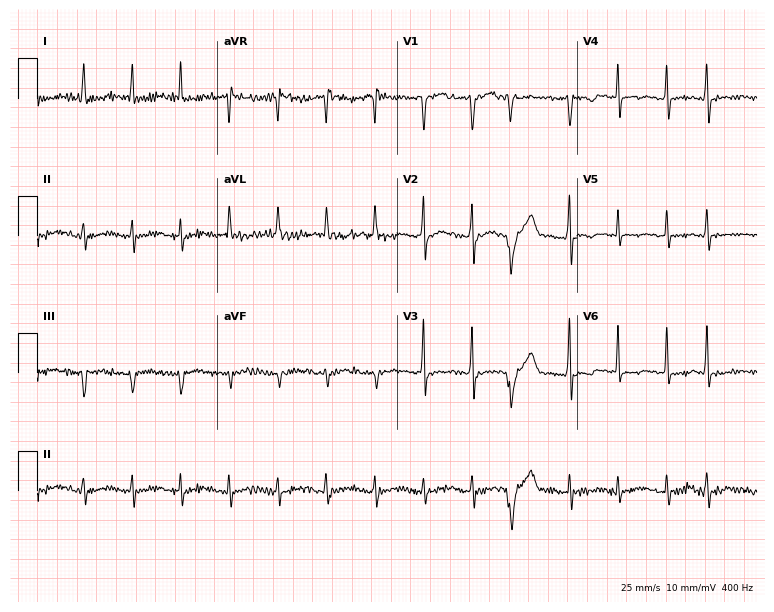
Resting 12-lead electrocardiogram (7.3-second recording at 400 Hz). Patient: an 82-year-old woman. None of these six findings is recorded: first-degree AV block, right bundle branch block, left bundle branch block, sinus bradycardia, atrial fibrillation, sinus tachycardia.